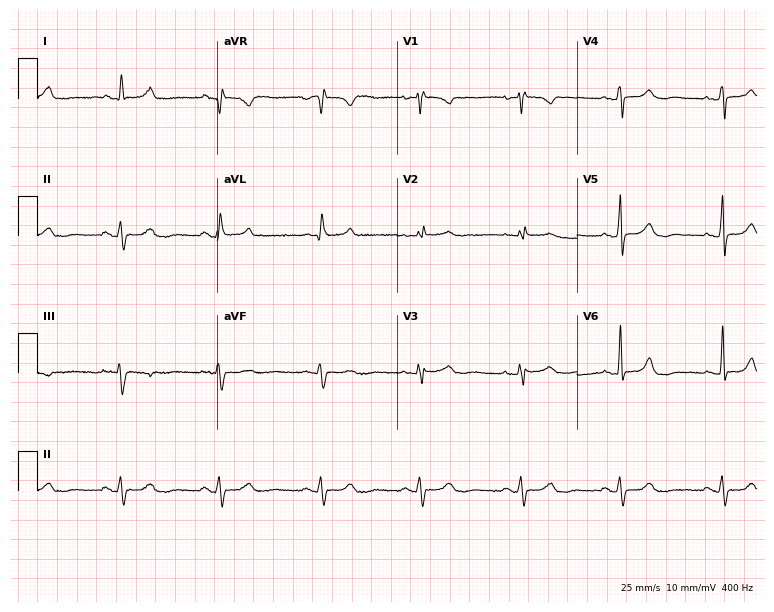
Resting 12-lead electrocardiogram (7.3-second recording at 400 Hz). Patient: a woman, 70 years old. Read as a normal ECG.